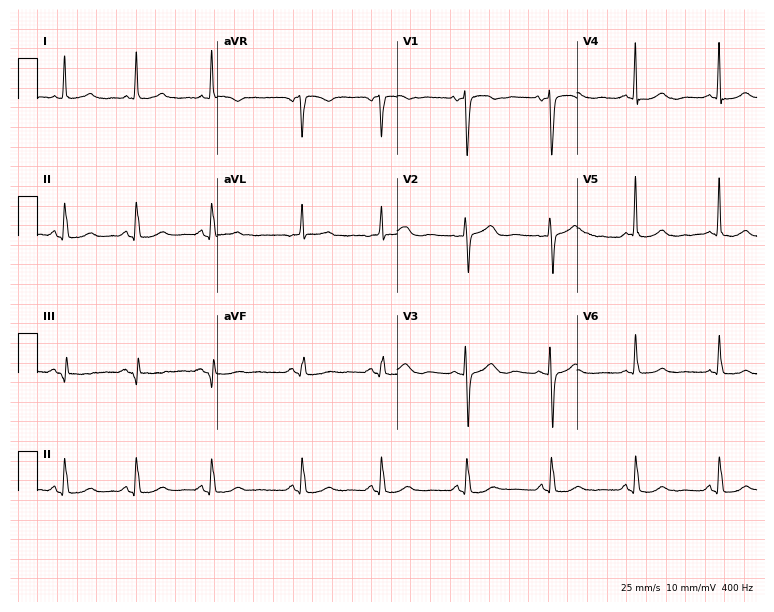
12-lead ECG from a female patient, 82 years old (7.3-second recording at 400 Hz). No first-degree AV block, right bundle branch block (RBBB), left bundle branch block (LBBB), sinus bradycardia, atrial fibrillation (AF) or sinus tachycardia recorded for this tracing. Findings outside these six are not listed.